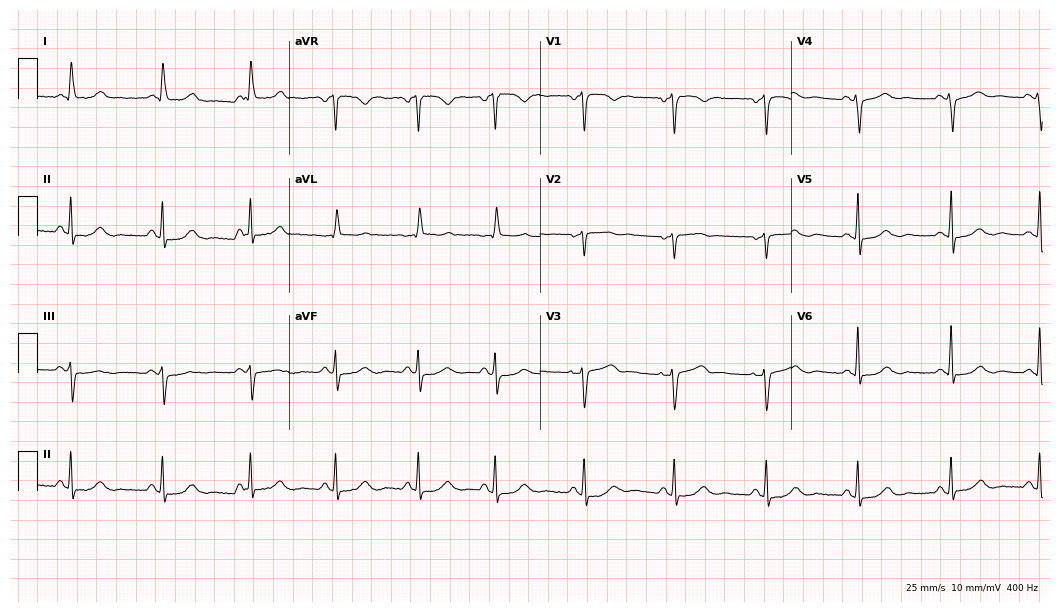
Standard 12-lead ECG recorded from a 66-year-old female (10.2-second recording at 400 Hz). Read as a normal ECG.